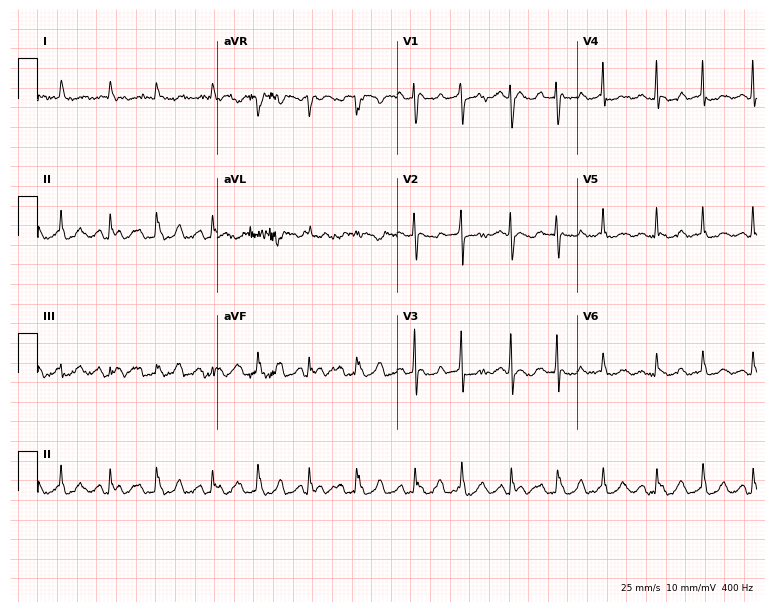
12-lead ECG (7.3-second recording at 400 Hz) from a 62-year-old female patient. Screened for six findings — first-degree AV block, right bundle branch block (RBBB), left bundle branch block (LBBB), sinus bradycardia, atrial fibrillation (AF), sinus tachycardia — none is recorded. Findings outside these six are not listed.